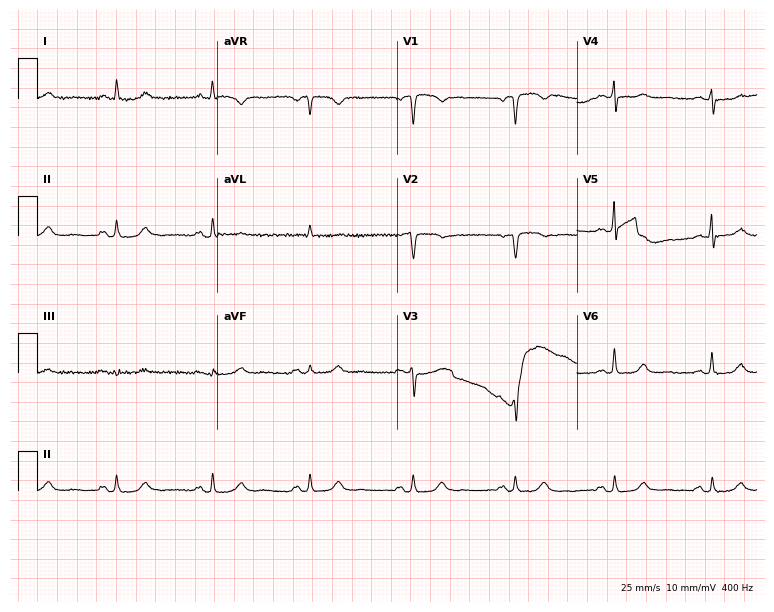
12-lead ECG from a female patient, 67 years old. Screened for six findings — first-degree AV block, right bundle branch block, left bundle branch block, sinus bradycardia, atrial fibrillation, sinus tachycardia — none is recorded.